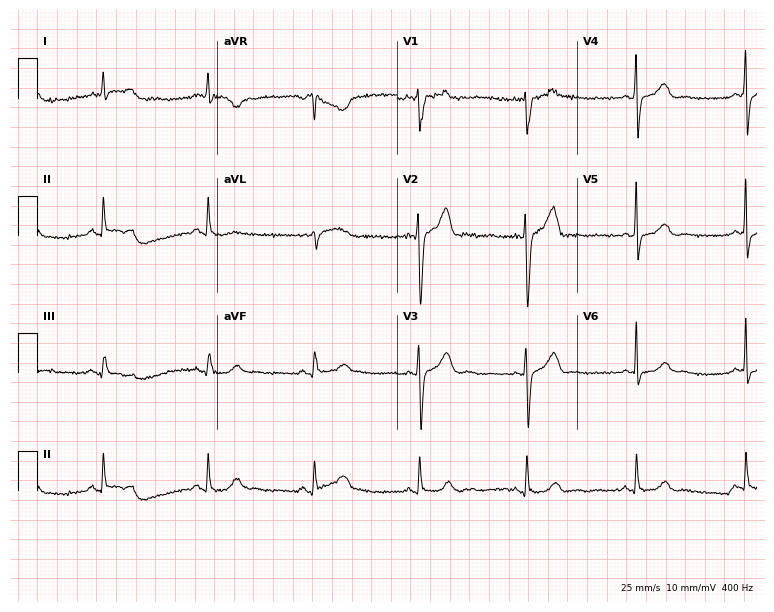
ECG — a male, 43 years old. Screened for six findings — first-degree AV block, right bundle branch block, left bundle branch block, sinus bradycardia, atrial fibrillation, sinus tachycardia — none is recorded. Other findings, if any, are not listed.